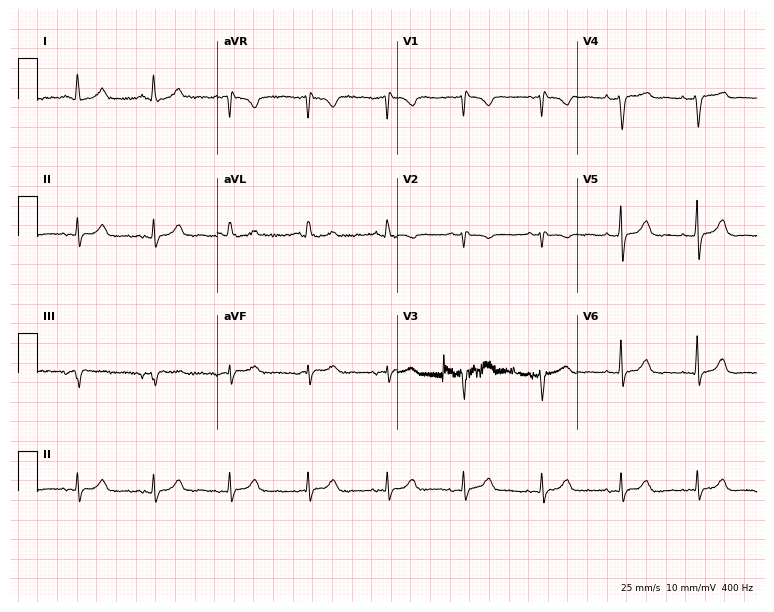
Standard 12-lead ECG recorded from a female patient, 72 years old. None of these six findings is recorded: first-degree AV block, right bundle branch block (RBBB), left bundle branch block (LBBB), sinus bradycardia, atrial fibrillation (AF), sinus tachycardia. Other findings, if any, are not listed.